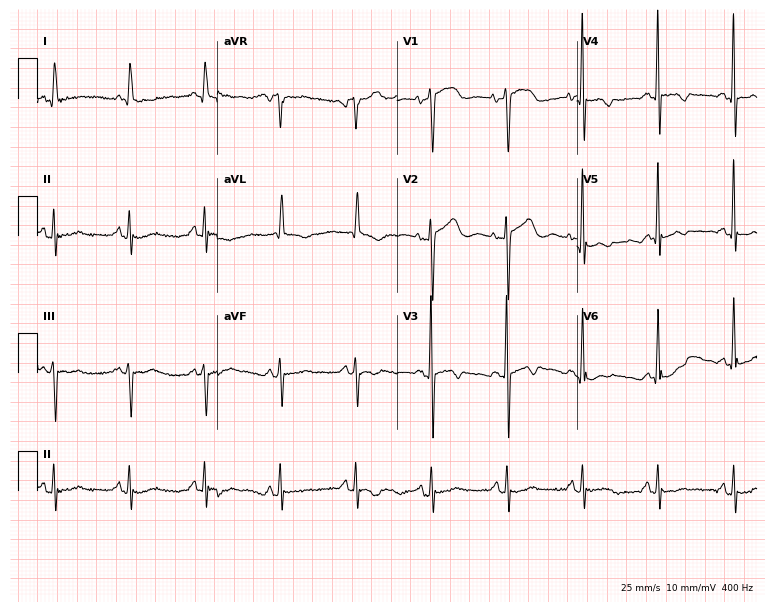
Standard 12-lead ECG recorded from a 73-year-old female. None of these six findings is recorded: first-degree AV block, right bundle branch block, left bundle branch block, sinus bradycardia, atrial fibrillation, sinus tachycardia. Only these six findings were labelled.